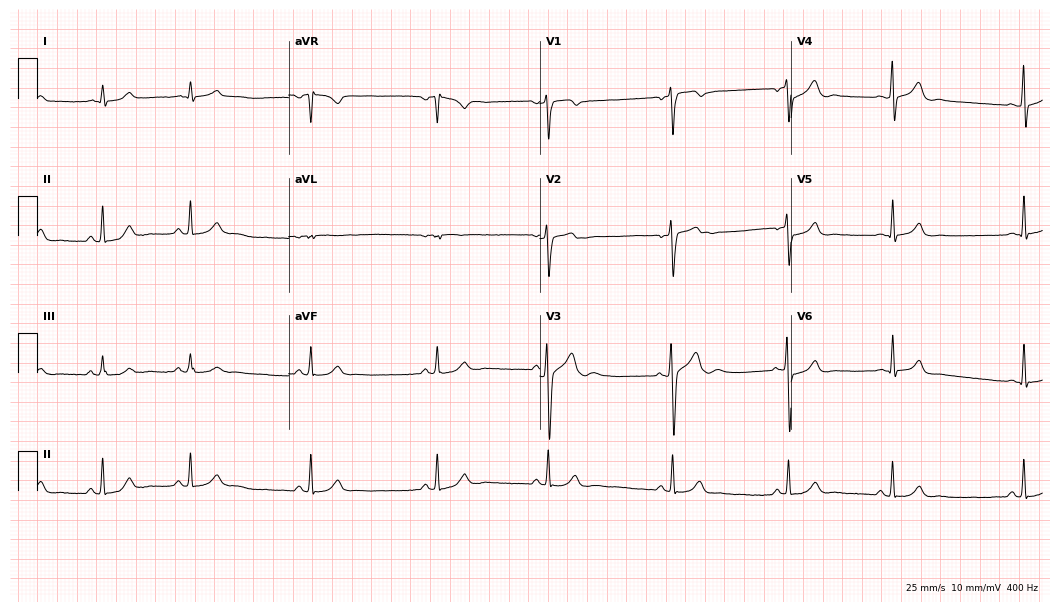
12-lead ECG (10.2-second recording at 400 Hz) from a man, 20 years old. Screened for six findings — first-degree AV block, right bundle branch block, left bundle branch block, sinus bradycardia, atrial fibrillation, sinus tachycardia — none is recorded. Only these six findings were labelled.